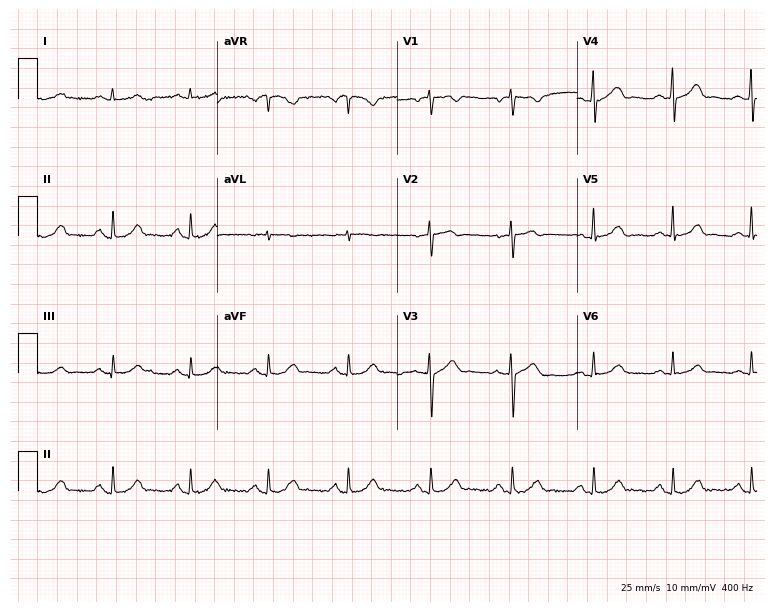
12-lead ECG from a 65-year-old male. Labelled as a normal ECG.